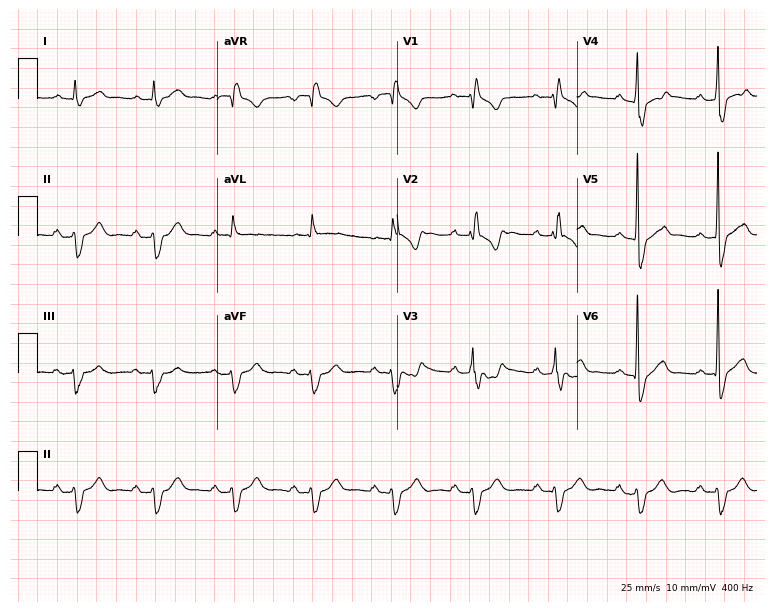
Resting 12-lead electrocardiogram. Patient: a male, 63 years old. The tracing shows right bundle branch block.